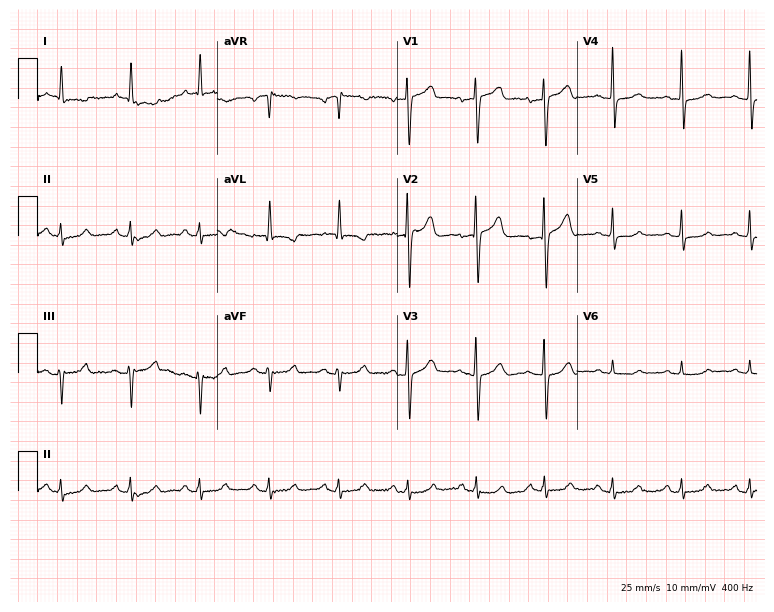
Electrocardiogram, a 73-year-old man. Of the six screened findings (first-degree AV block, right bundle branch block, left bundle branch block, sinus bradycardia, atrial fibrillation, sinus tachycardia), none is recorded.